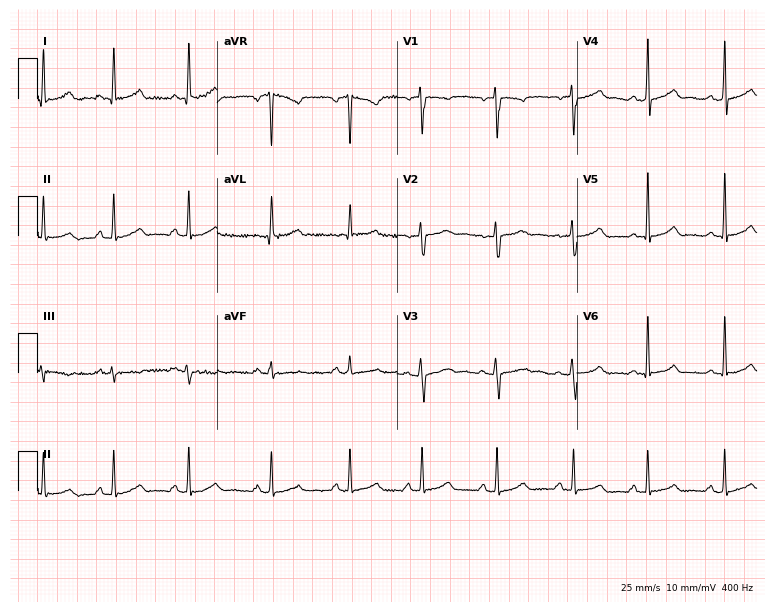
Resting 12-lead electrocardiogram. Patient: a 42-year-old female. Read as a normal ECG.